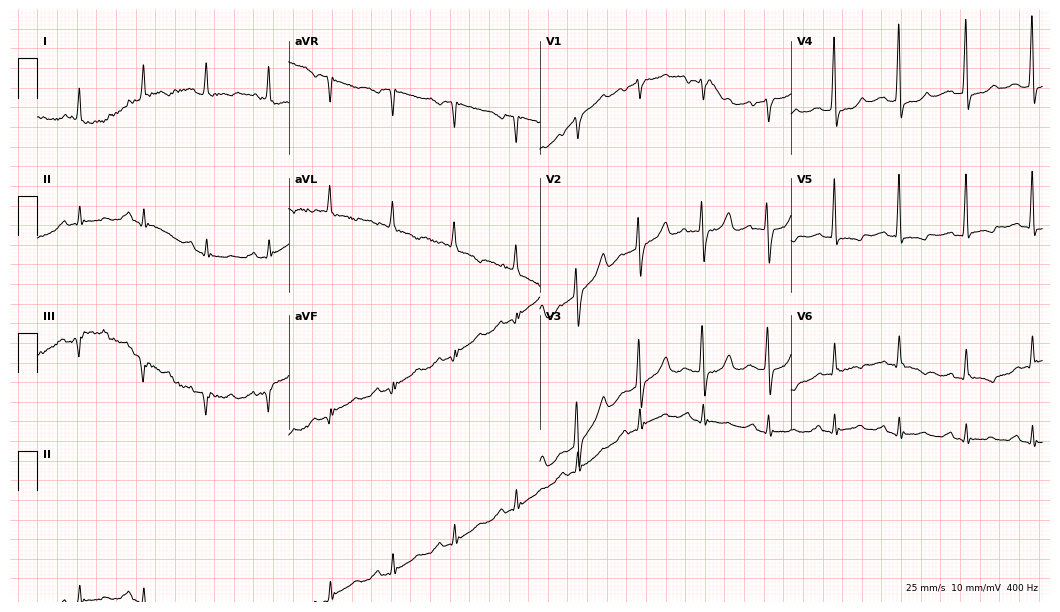
Resting 12-lead electrocardiogram (10.2-second recording at 400 Hz). Patient: a 70-year-old woman. None of these six findings is recorded: first-degree AV block, right bundle branch block, left bundle branch block, sinus bradycardia, atrial fibrillation, sinus tachycardia. Only these six findings were labelled.